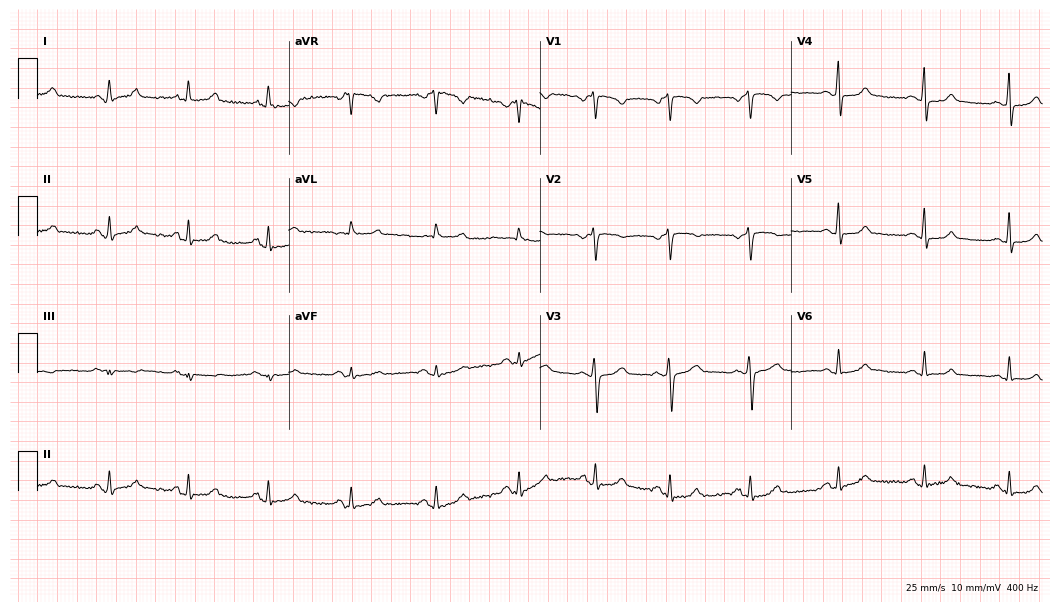
Electrocardiogram, a 25-year-old female patient. Of the six screened findings (first-degree AV block, right bundle branch block, left bundle branch block, sinus bradycardia, atrial fibrillation, sinus tachycardia), none is recorded. Other findings, if any, are not listed.